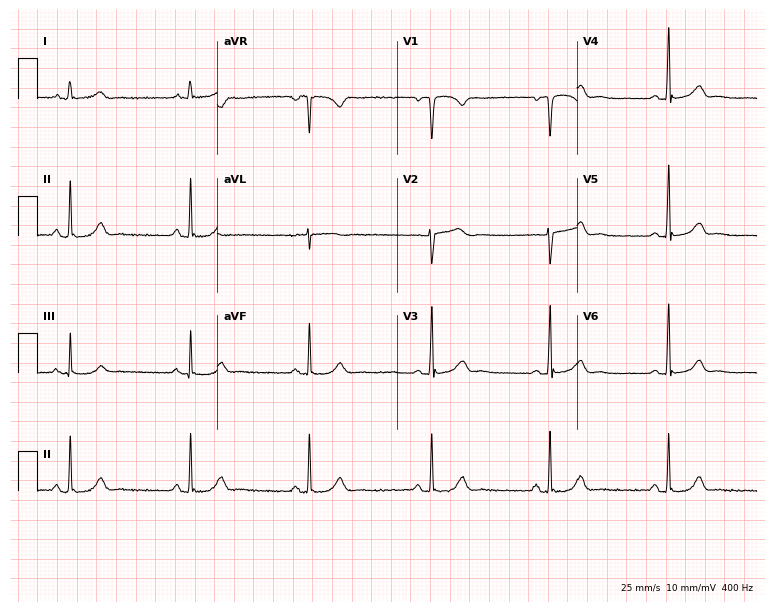
Standard 12-lead ECG recorded from a female, 68 years old (7.3-second recording at 400 Hz). None of these six findings is recorded: first-degree AV block, right bundle branch block, left bundle branch block, sinus bradycardia, atrial fibrillation, sinus tachycardia. Only these six findings were labelled.